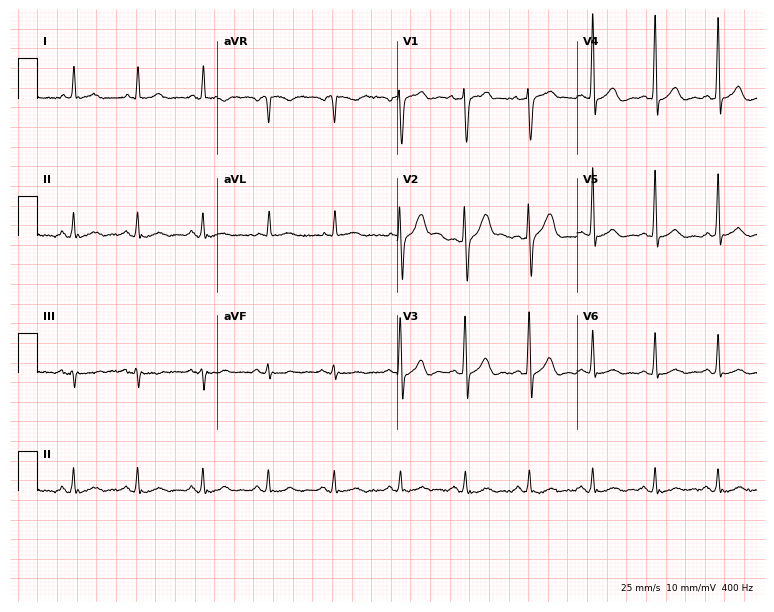
12-lead ECG (7.3-second recording at 400 Hz) from a male patient, 63 years old. Screened for six findings — first-degree AV block, right bundle branch block, left bundle branch block, sinus bradycardia, atrial fibrillation, sinus tachycardia — none is recorded. Findings outside these six are not listed.